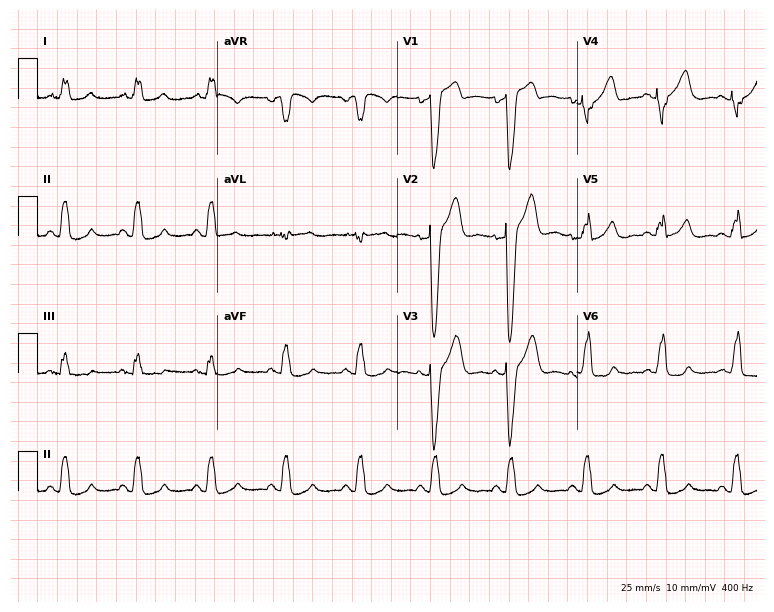
Standard 12-lead ECG recorded from a male, 70 years old (7.3-second recording at 400 Hz). The tracing shows left bundle branch block.